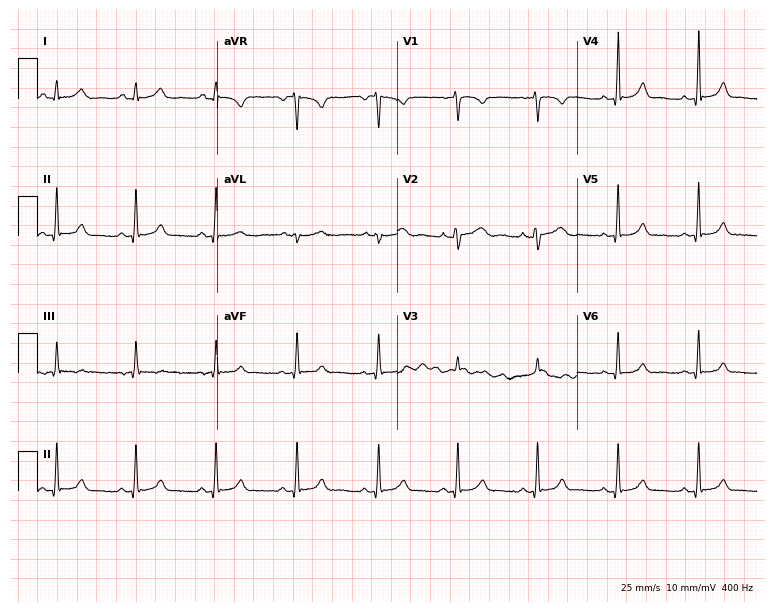
12-lead ECG from a 31-year-old female patient (7.3-second recording at 400 Hz). No first-degree AV block, right bundle branch block (RBBB), left bundle branch block (LBBB), sinus bradycardia, atrial fibrillation (AF) or sinus tachycardia recorded for this tracing.